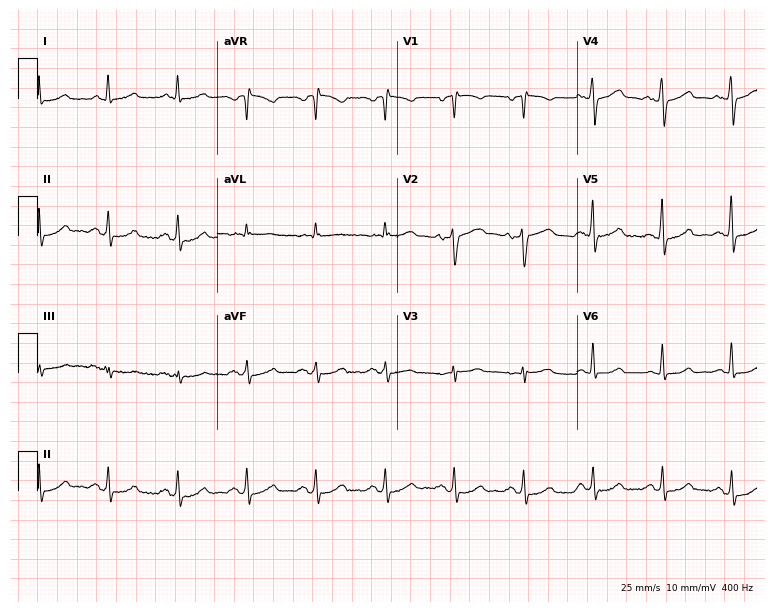
12-lead ECG (7.3-second recording at 400 Hz) from a 56-year-old male. Labelled as a normal ECG.